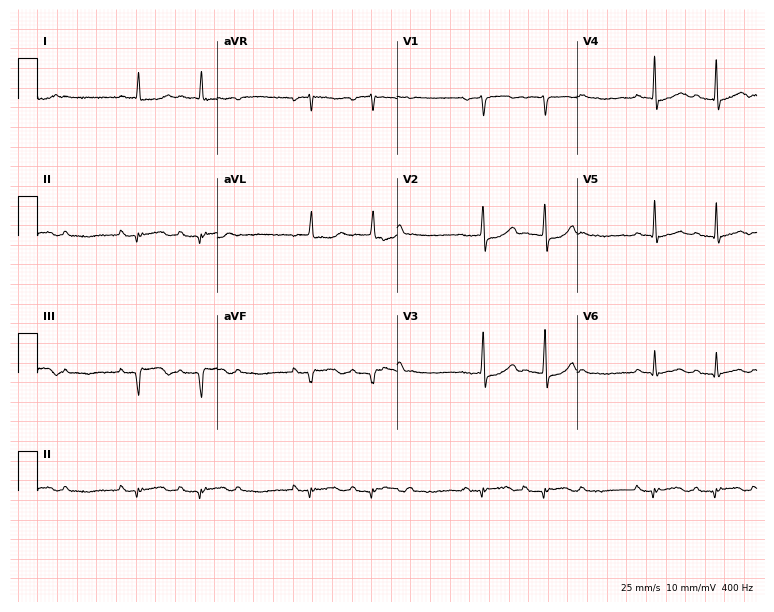
12-lead ECG (7.3-second recording at 400 Hz) from a woman, 58 years old. Screened for six findings — first-degree AV block, right bundle branch block (RBBB), left bundle branch block (LBBB), sinus bradycardia, atrial fibrillation (AF), sinus tachycardia — none is recorded.